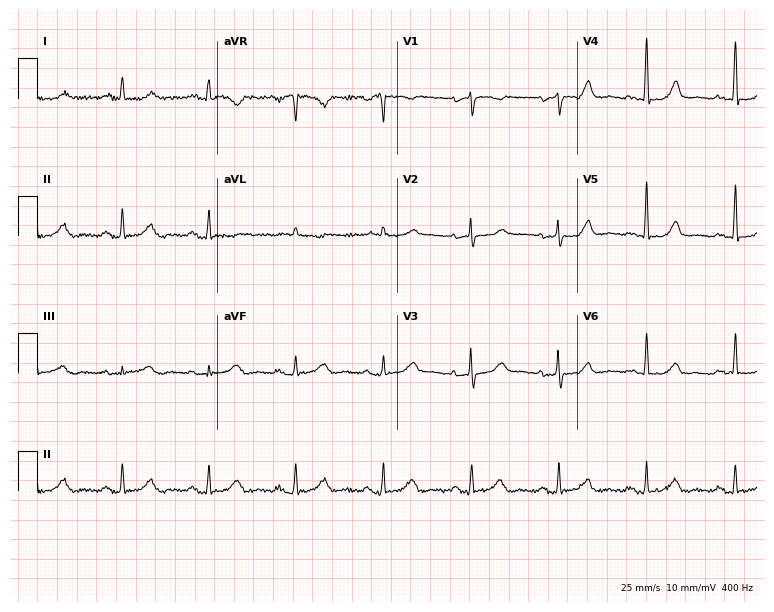
ECG (7.3-second recording at 400 Hz) — a female patient, 75 years old. Labelled as a normal ECG.